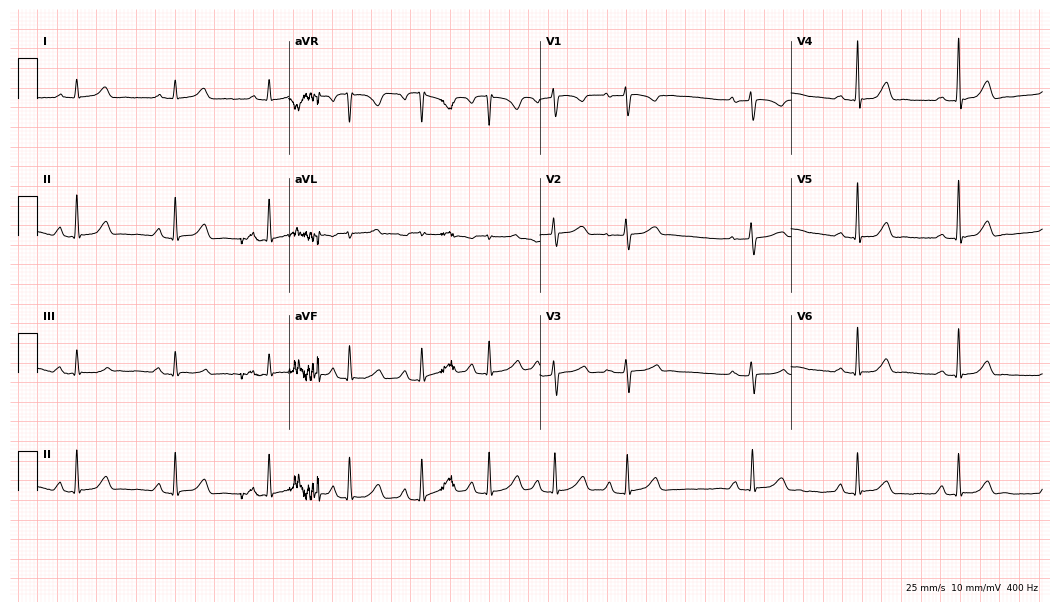
ECG — a female, 56 years old. Labelled as a normal ECG.